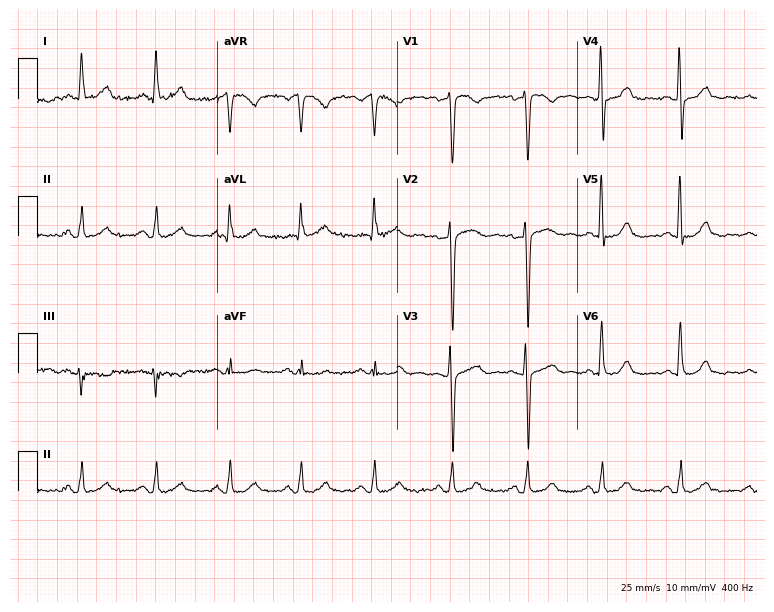
Electrocardiogram (7.3-second recording at 400 Hz), a female, 59 years old. Of the six screened findings (first-degree AV block, right bundle branch block, left bundle branch block, sinus bradycardia, atrial fibrillation, sinus tachycardia), none is recorded. Other findings, if any, are not listed.